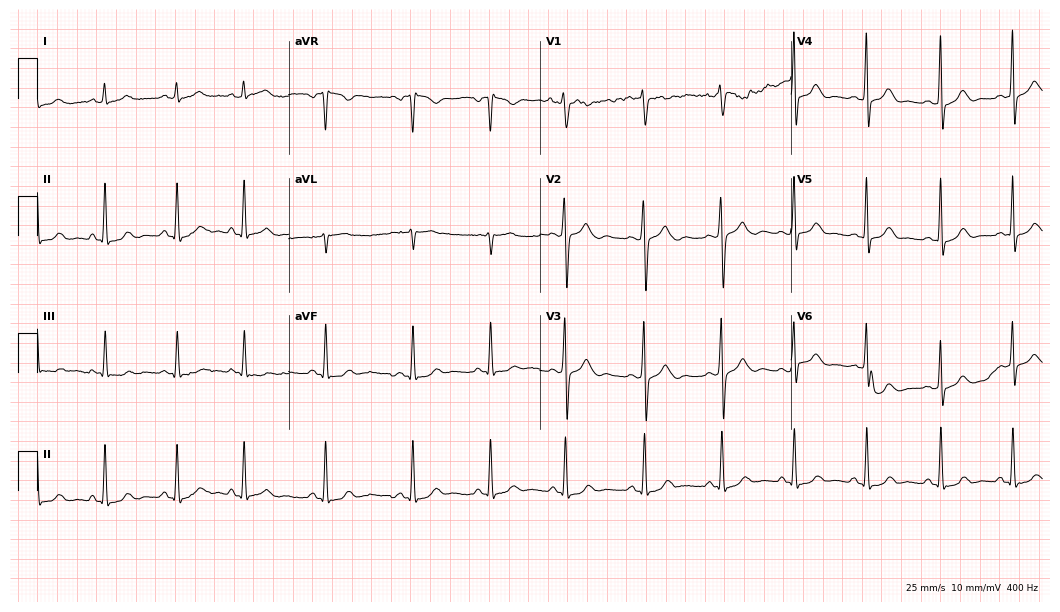
12-lead ECG from a 22-year-old female patient. Labelled as a normal ECG.